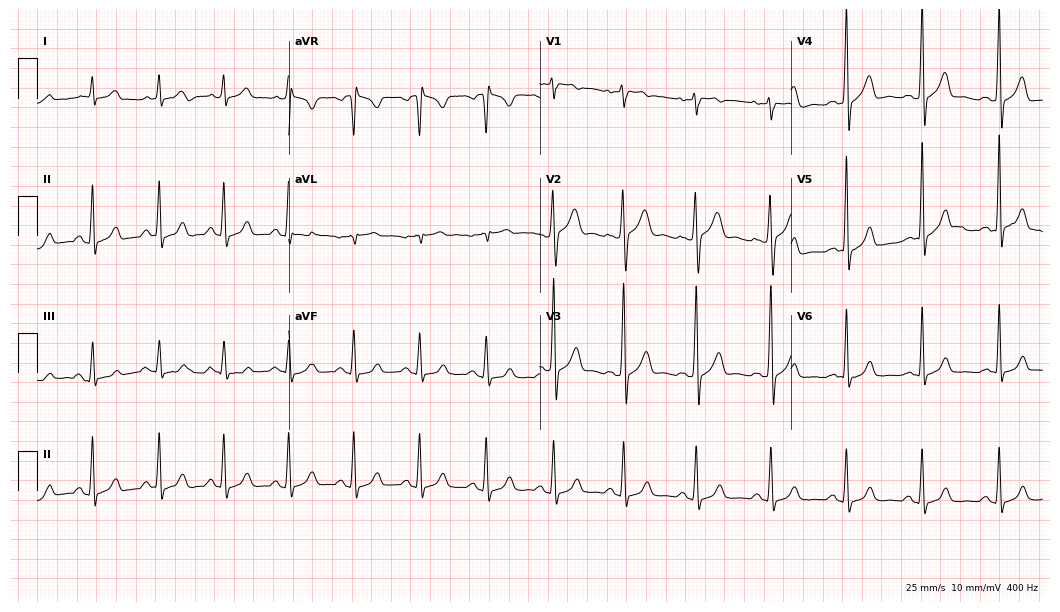
Electrocardiogram (10.2-second recording at 400 Hz), a 31-year-old male. Overall reading on record: normal ECG.